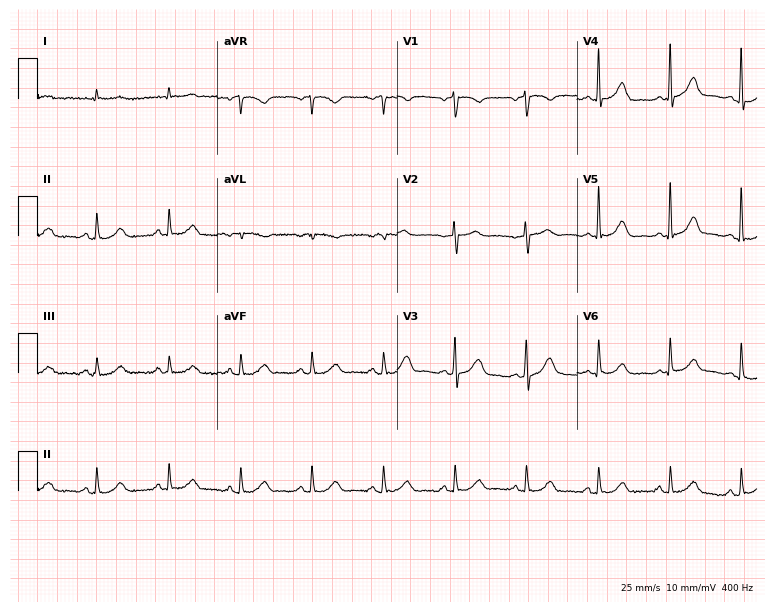
ECG (7.3-second recording at 400 Hz) — a man, 54 years old. Labelled as a normal ECG.